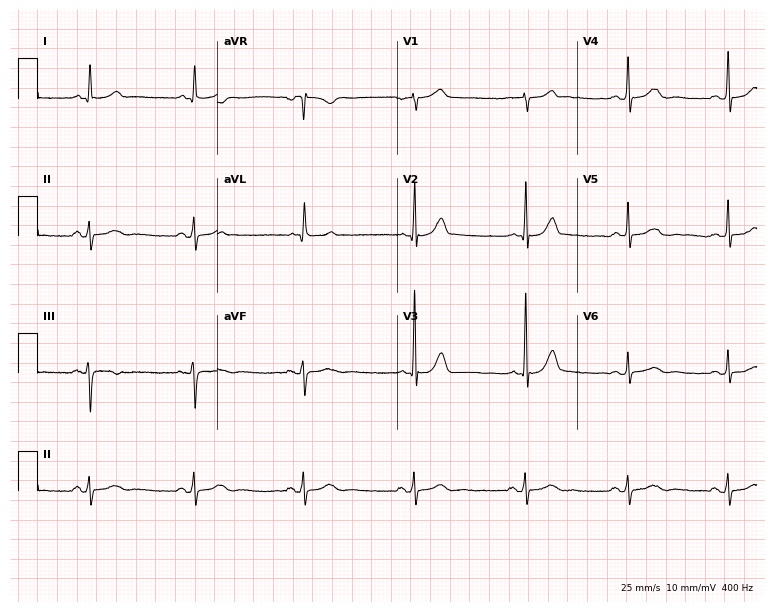
ECG — a woman, 67 years old. Labelled as a normal ECG.